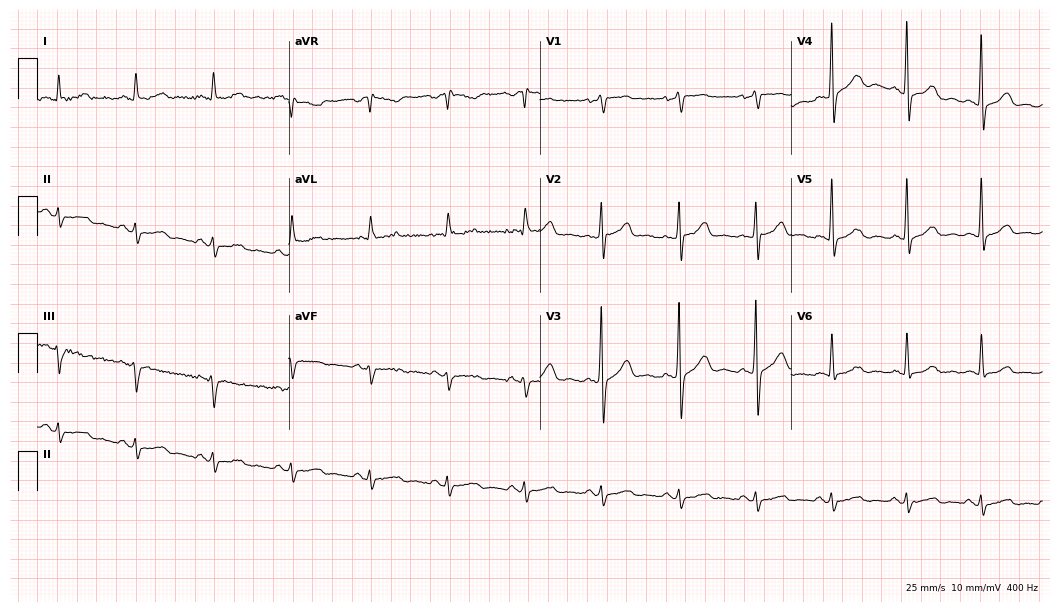
12-lead ECG from a man, 53 years old. Screened for six findings — first-degree AV block, right bundle branch block, left bundle branch block, sinus bradycardia, atrial fibrillation, sinus tachycardia — none is recorded.